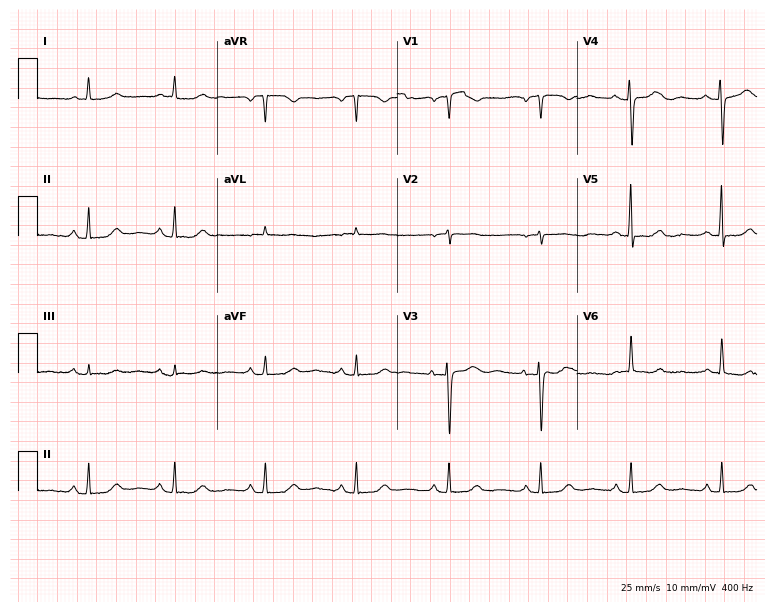
Resting 12-lead electrocardiogram (7.3-second recording at 400 Hz). Patient: a female, 84 years old. None of these six findings is recorded: first-degree AV block, right bundle branch block (RBBB), left bundle branch block (LBBB), sinus bradycardia, atrial fibrillation (AF), sinus tachycardia.